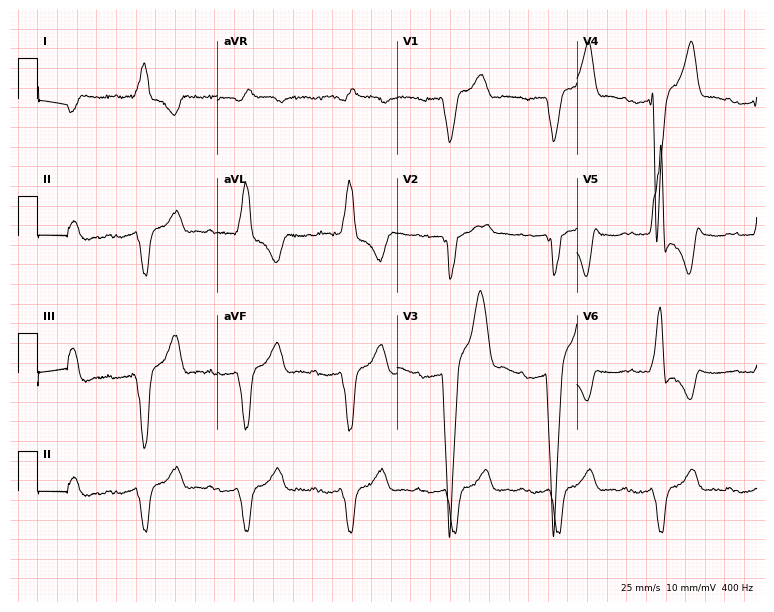
Standard 12-lead ECG recorded from an 89-year-old man (7.3-second recording at 400 Hz). None of these six findings is recorded: first-degree AV block, right bundle branch block, left bundle branch block, sinus bradycardia, atrial fibrillation, sinus tachycardia.